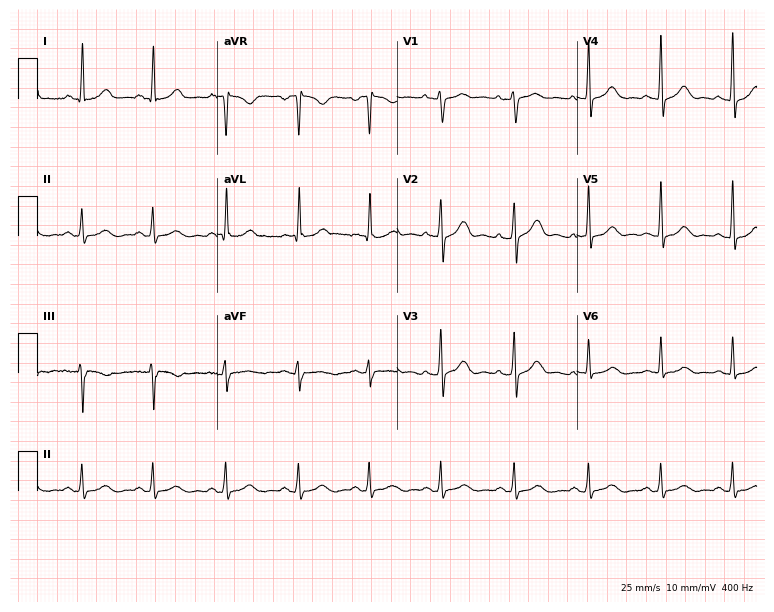
ECG — a female patient, 53 years old. Labelled as a normal ECG.